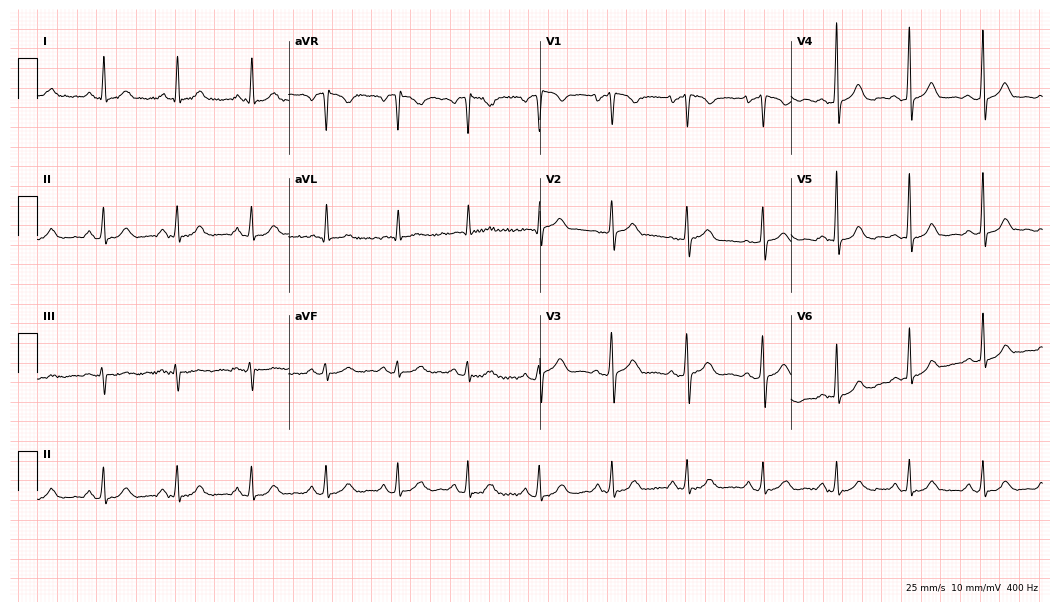
ECG — a 40-year-old woman. Labelled as a normal ECG.